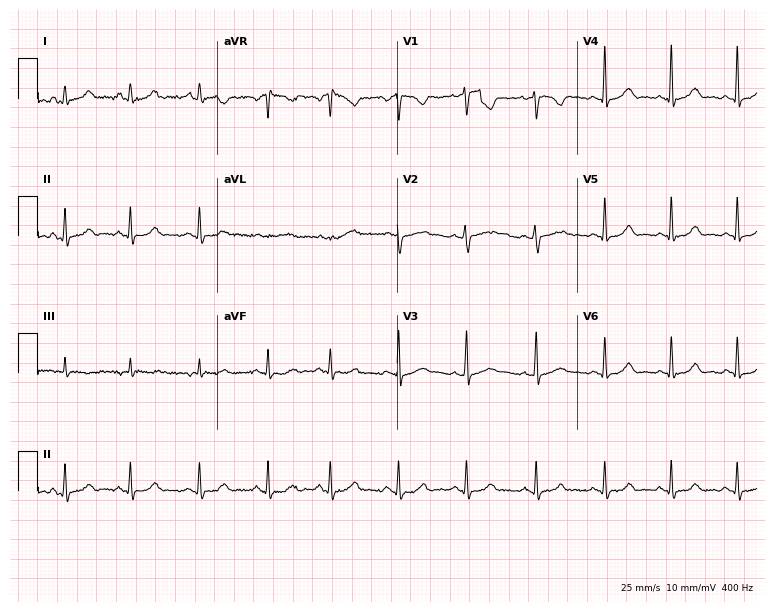
12-lead ECG (7.3-second recording at 400 Hz) from a woman, 22 years old. Labelled as a normal ECG.